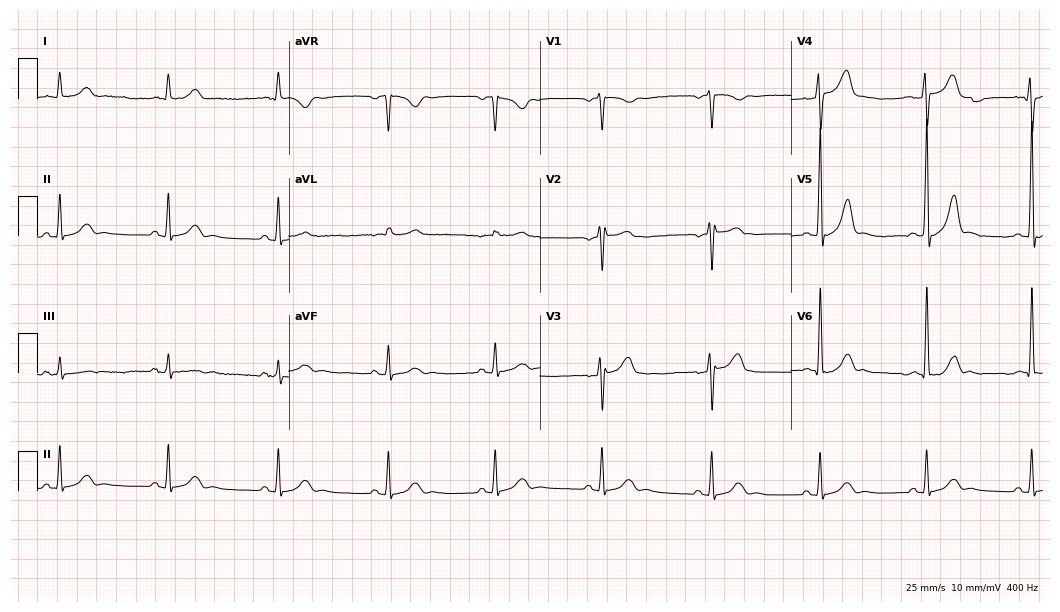
ECG (10.2-second recording at 400 Hz) — a 73-year-old male patient. Labelled as a normal ECG.